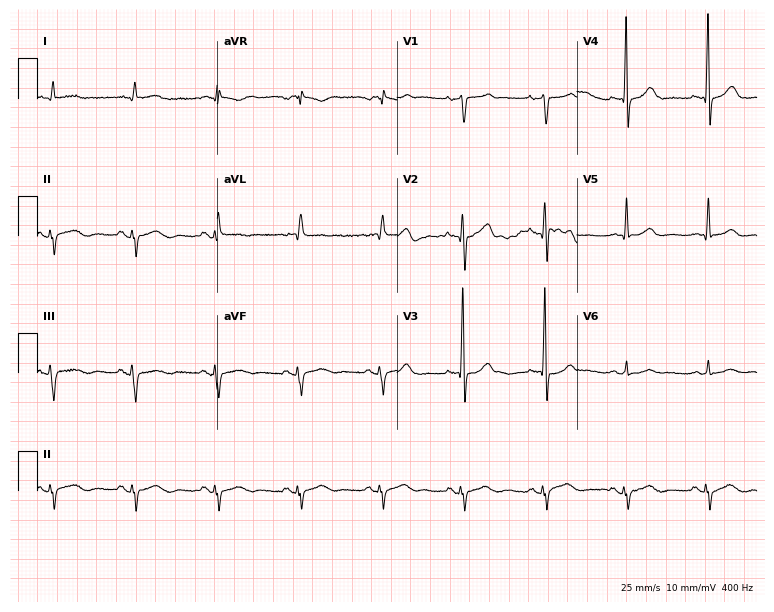
Electrocardiogram, a male, 66 years old. Of the six screened findings (first-degree AV block, right bundle branch block (RBBB), left bundle branch block (LBBB), sinus bradycardia, atrial fibrillation (AF), sinus tachycardia), none is recorded.